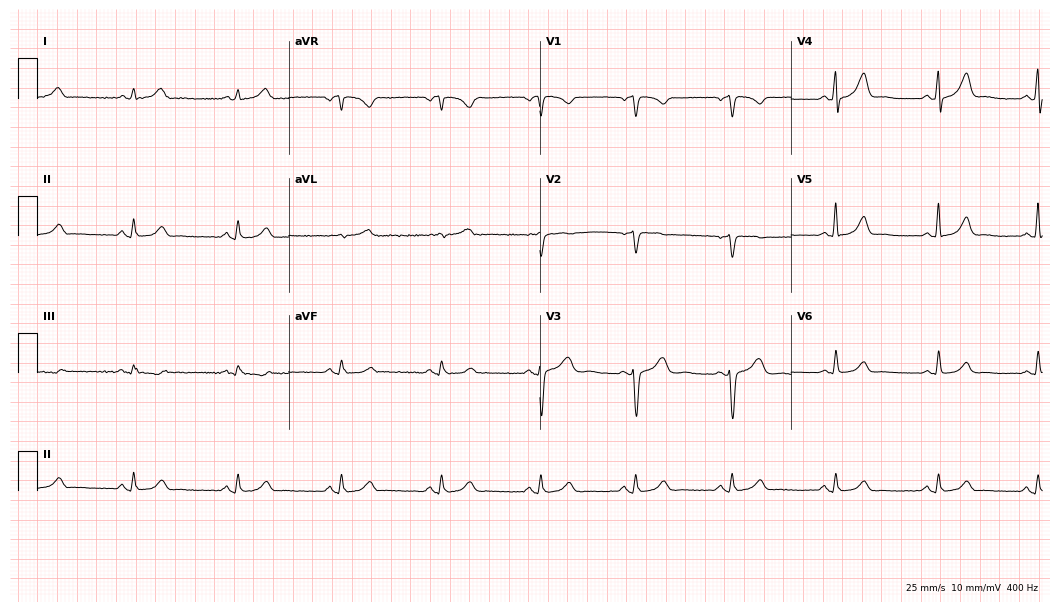
12-lead ECG from a female patient, 48 years old. Screened for six findings — first-degree AV block, right bundle branch block, left bundle branch block, sinus bradycardia, atrial fibrillation, sinus tachycardia — none is recorded.